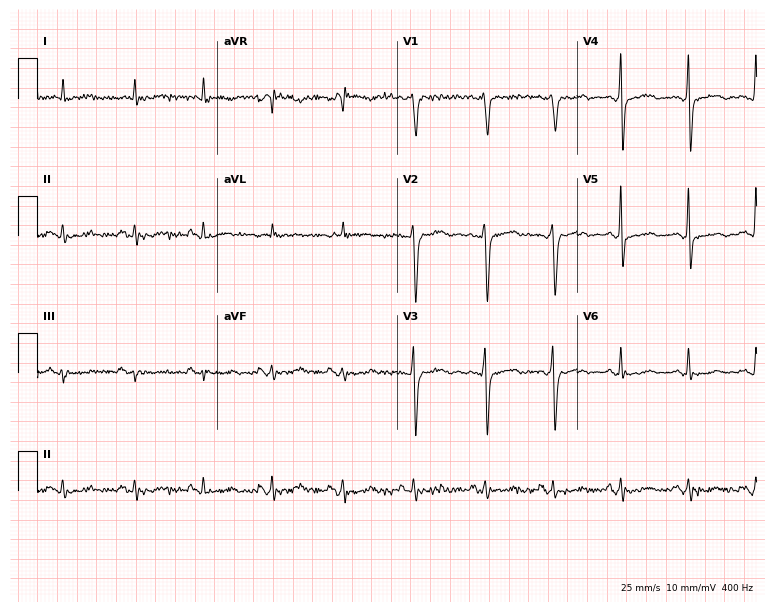
Electrocardiogram, a 63-year-old female. Of the six screened findings (first-degree AV block, right bundle branch block (RBBB), left bundle branch block (LBBB), sinus bradycardia, atrial fibrillation (AF), sinus tachycardia), none is recorded.